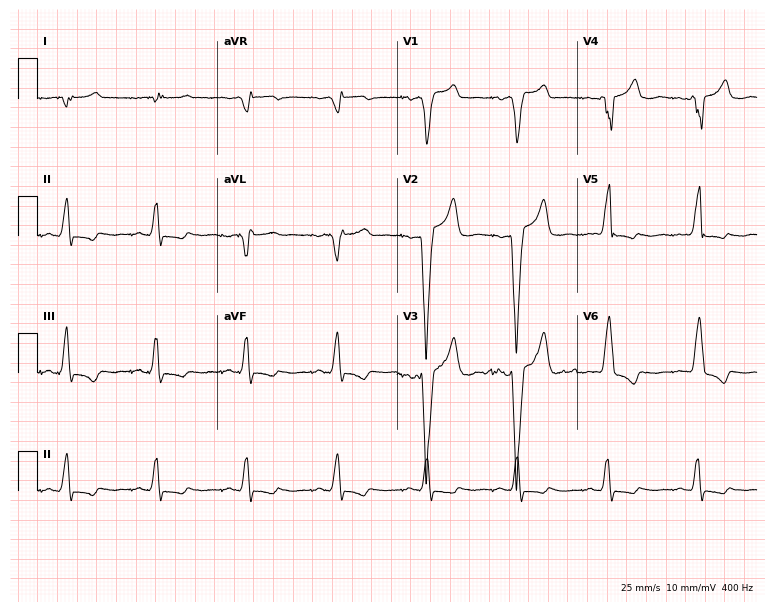
Electrocardiogram, a woman, 71 years old. Of the six screened findings (first-degree AV block, right bundle branch block (RBBB), left bundle branch block (LBBB), sinus bradycardia, atrial fibrillation (AF), sinus tachycardia), none is recorded. Other findings, if any, are not listed.